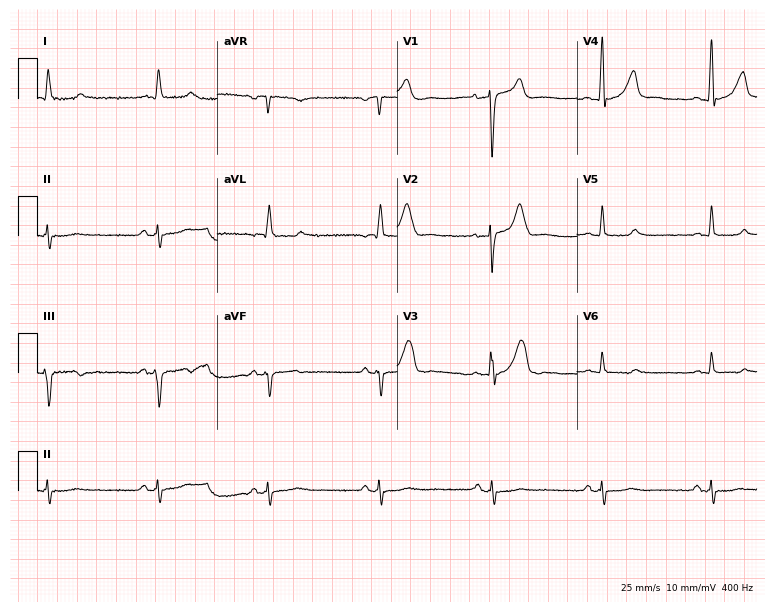
12-lead ECG (7.3-second recording at 400 Hz) from a 76-year-old male patient. Screened for six findings — first-degree AV block, right bundle branch block, left bundle branch block, sinus bradycardia, atrial fibrillation, sinus tachycardia — none is recorded. Other findings, if any, are not listed.